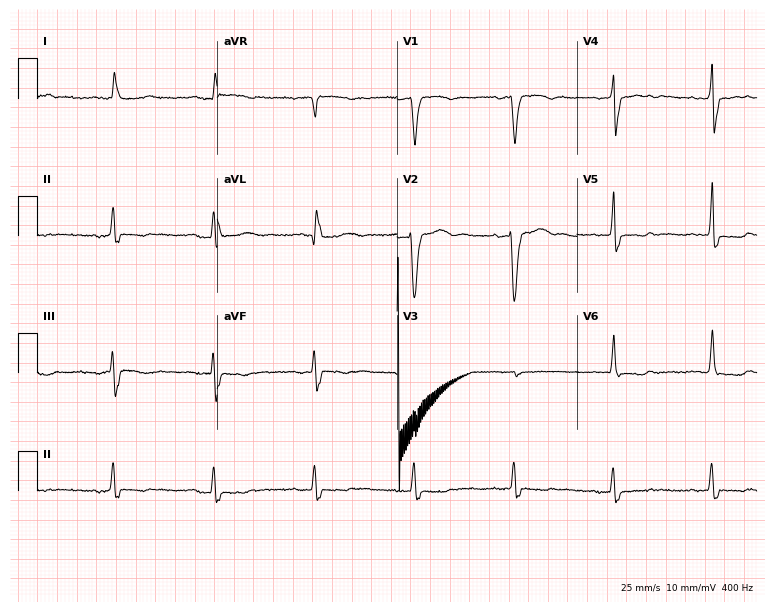
ECG — a woman, 73 years old. Screened for six findings — first-degree AV block, right bundle branch block, left bundle branch block, sinus bradycardia, atrial fibrillation, sinus tachycardia — none is recorded. Only these six findings were labelled.